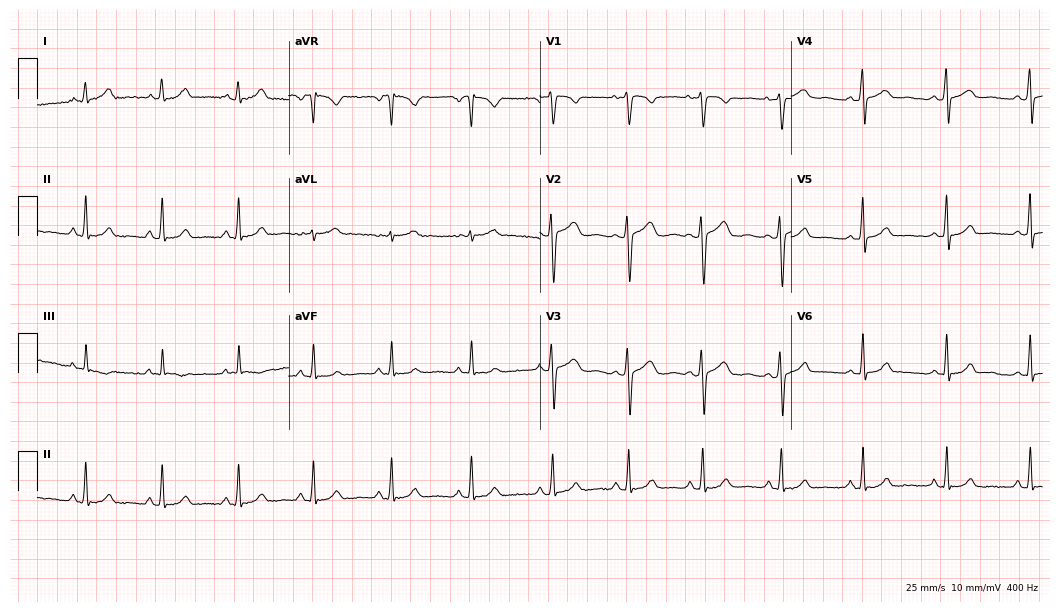
Resting 12-lead electrocardiogram. Patient: a female, 33 years old. Read as a normal ECG.